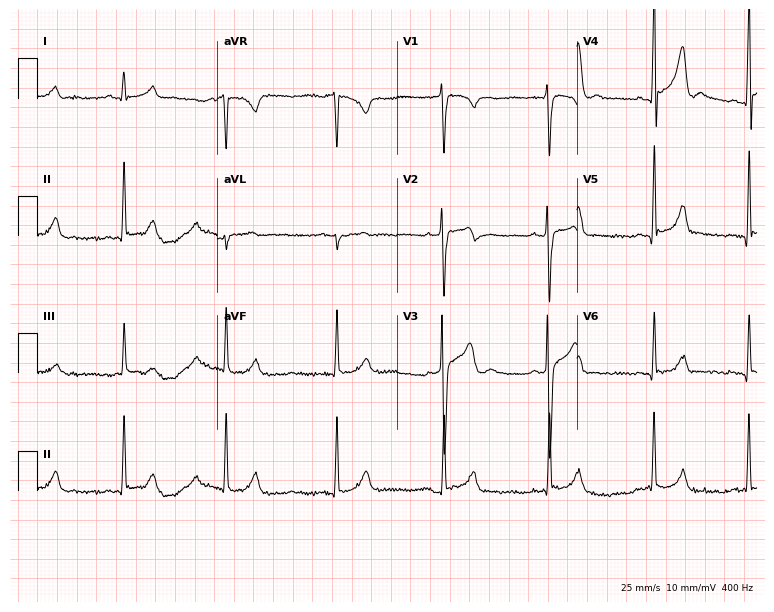
Electrocardiogram, a 17-year-old male. Of the six screened findings (first-degree AV block, right bundle branch block (RBBB), left bundle branch block (LBBB), sinus bradycardia, atrial fibrillation (AF), sinus tachycardia), none is recorded. Findings outside these six are not listed.